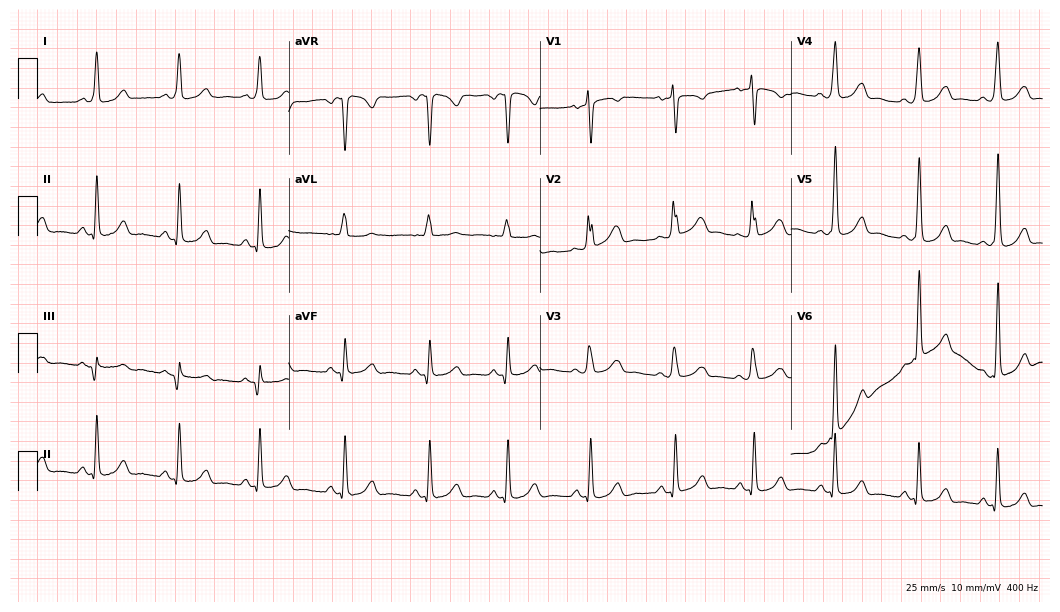
12-lead ECG from a 33-year-old female. No first-degree AV block, right bundle branch block, left bundle branch block, sinus bradycardia, atrial fibrillation or sinus tachycardia recorded for this tracing.